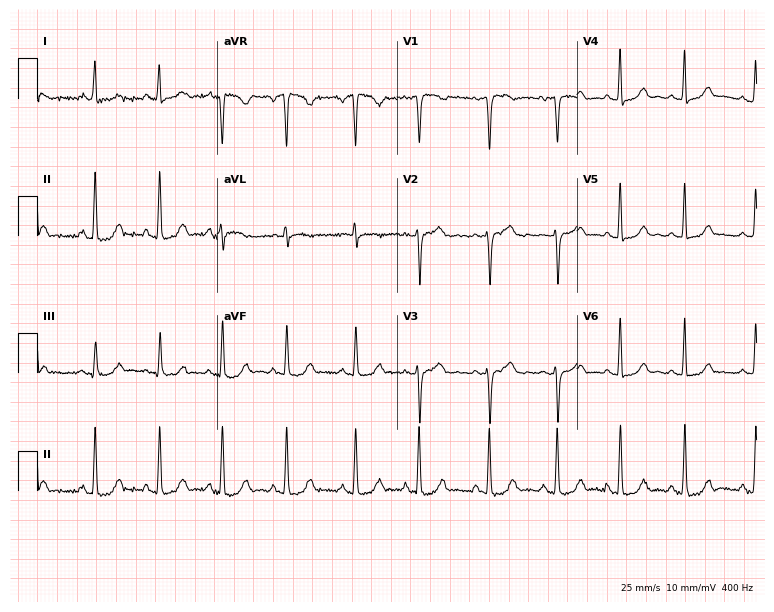
12-lead ECG (7.3-second recording at 400 Hz) from a 28-year-old female patient. Screened for six findings — first-degree AV block, right bundle branch block, left bundle branch block, sinus bradycardia, atrial fibrillation, sinus tachycardia — none is recorded. Findings outside these six are not listed.